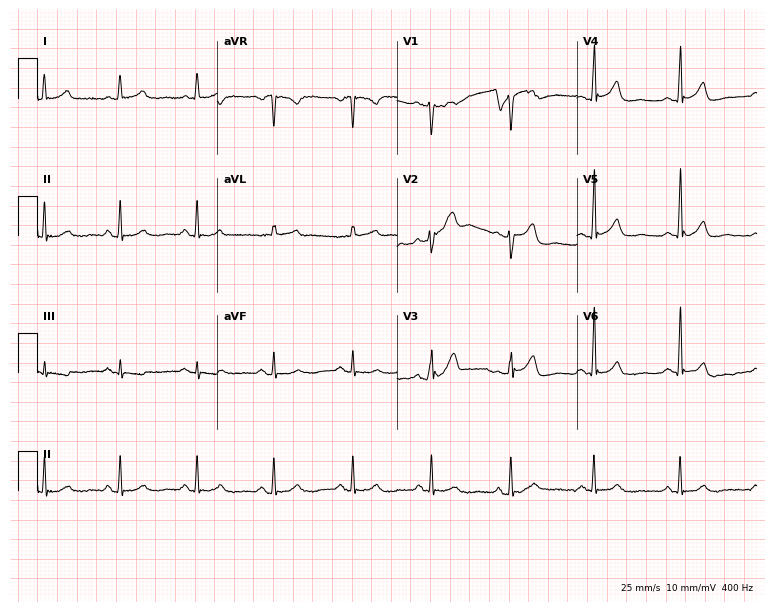
Standard 12-lead ECG recorded from a 61-year-old man (7.3-second recording at 400 Hz). Read as a normal ECG.